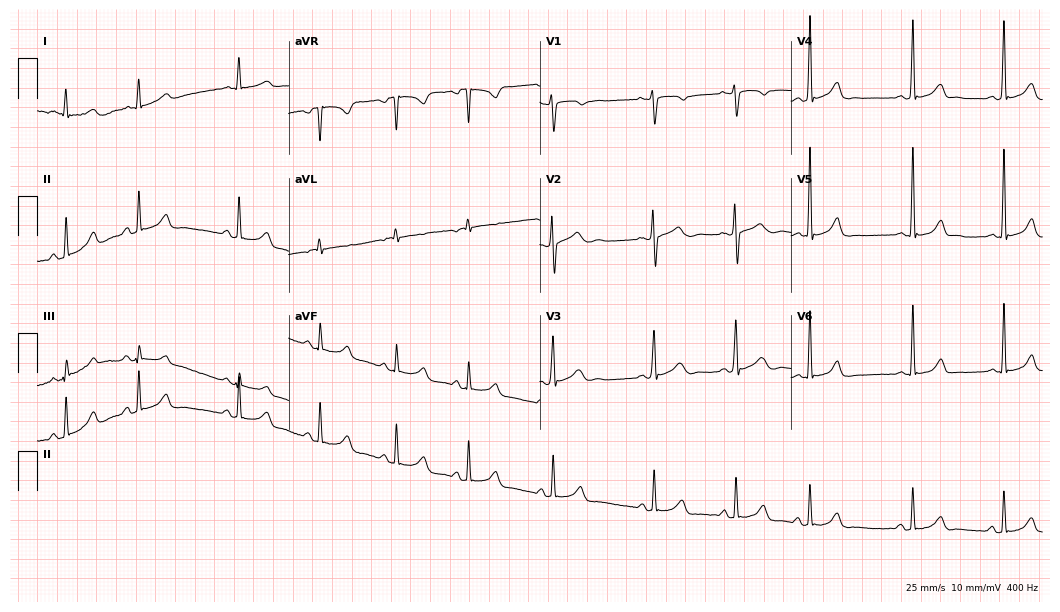
12-lead ECG from a female patient, 17 years old (10.2-second recording at 400 Hz). No first-degree AV block, right bundle branch block, left bundle branch block, sinus bradycardia, atrial fibrillation or sinus tachycardia recorded for this tracing.